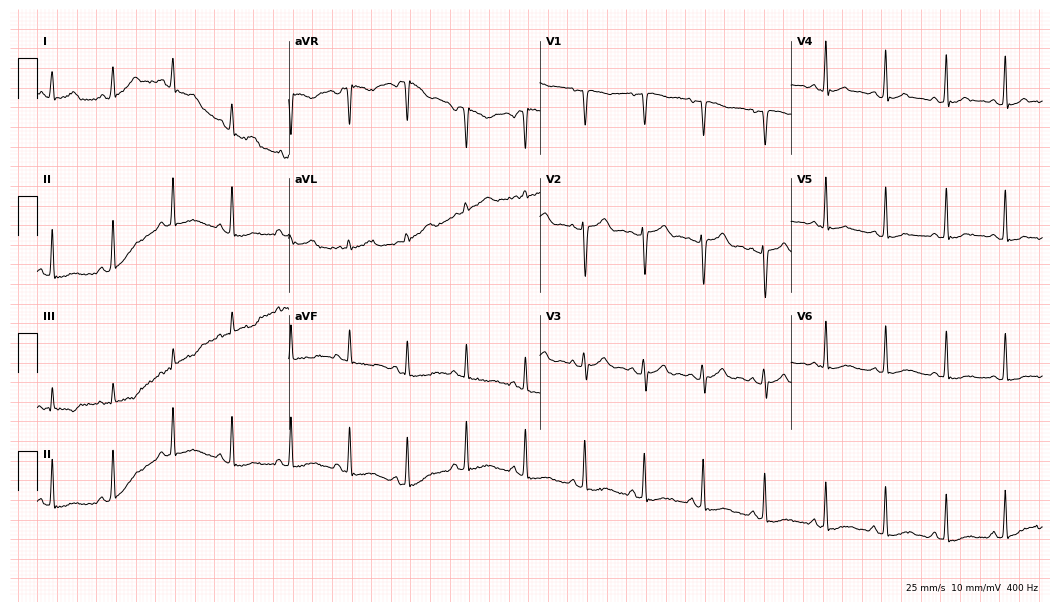
Electrocardiogram (10.2-second recording at 400 Hz), a 20-year-old female. Overall reading on record: normal ECG.